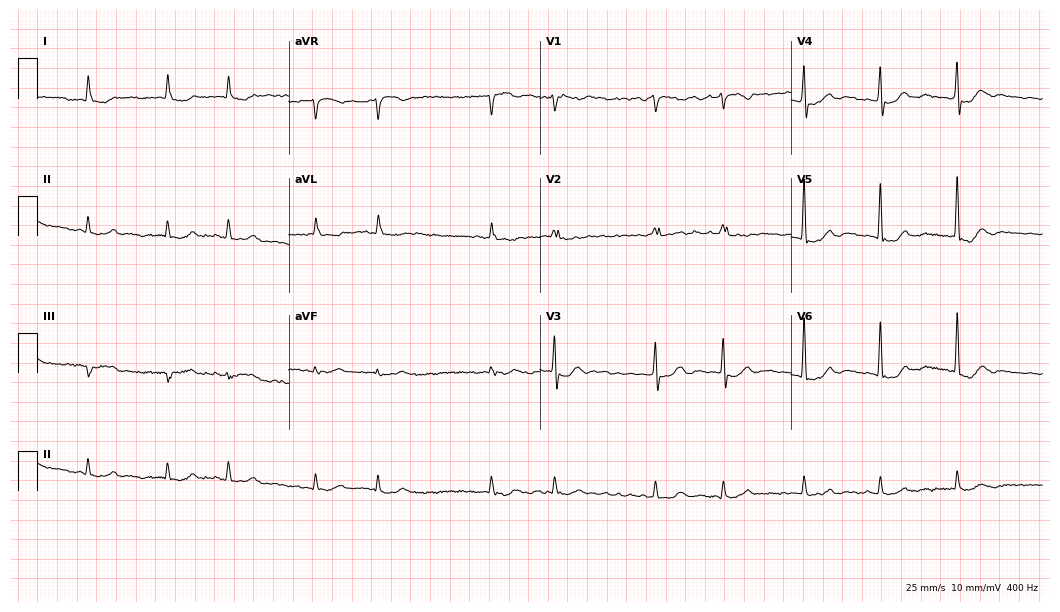
ECG — an 88-year-old female. Screened for six findings — first-degree AV block, right bundle branch block, left bundle branch block, sinus bradycardia, atrial fibrillation, sinus tachycardia — none is recorded.